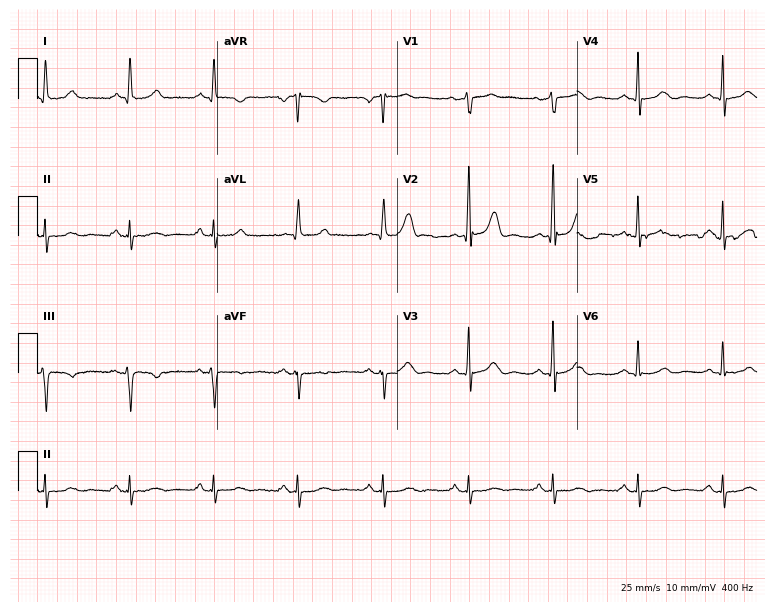
12-lead ECG from a male, 66 years old. Recorded interpretation: within normal limits.